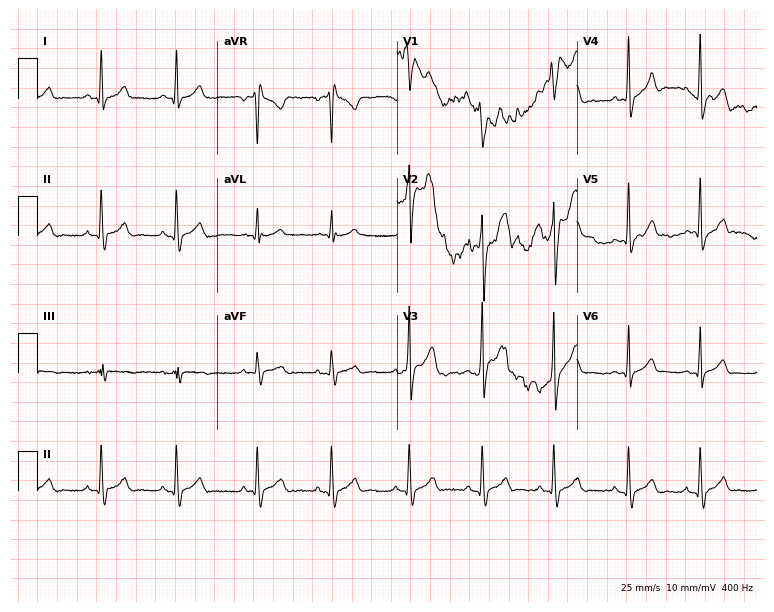
Electrocardiogram, a male patient, 21 years old. Of the six screened findings (first-degree AV block, right bundle branch block, left bundle branch block, sinus bradycardia, atrial fibrillation, sinus tachycardia), none is recorded.